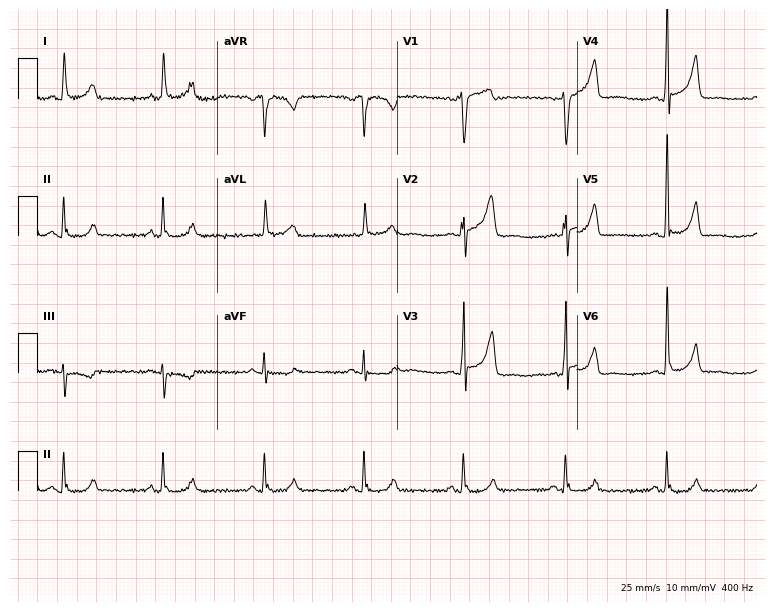
12-lead ECG from a man, 61 years old. No first-degree AV block, right bundle branch block (RBBB), left bundle branch block (LBBB), sinus bradycardia, atrial fibrillation (AF) or sinus tachycardia recorded for this tracing. Findings outside these six are not listed.